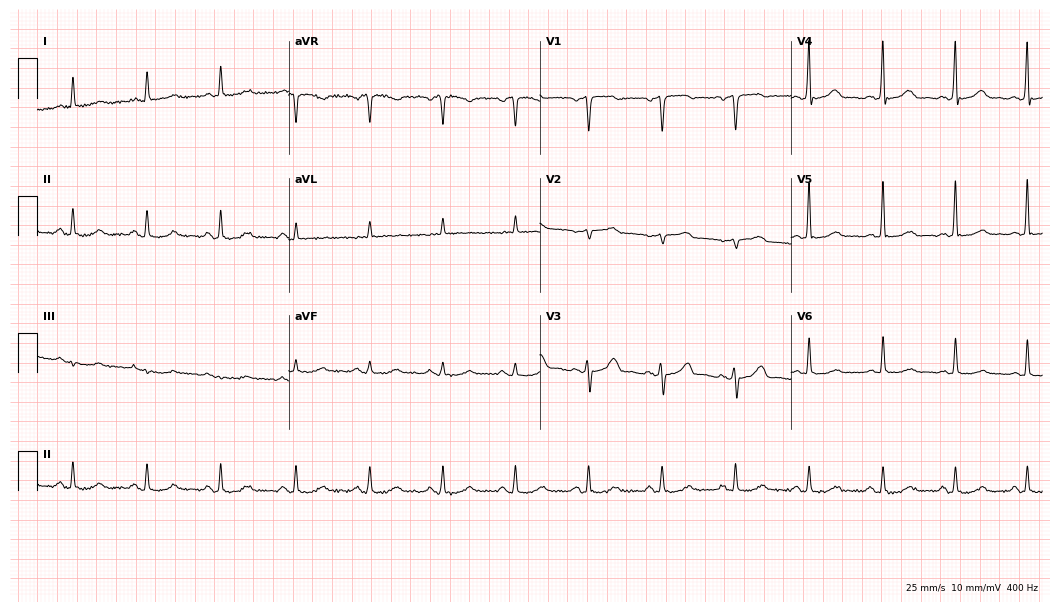
Standard 12-lead ECG recorded from a 62-year-old male patient (10.2-second recording at 400 Hz). Read as a normal ECG.